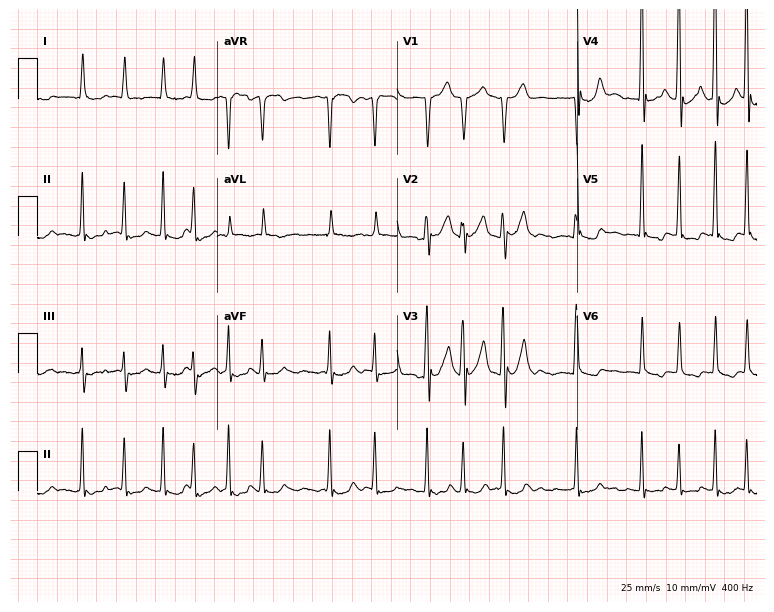
12-lead ECG from a man, 77 years old. Shows atrial fibrillation.